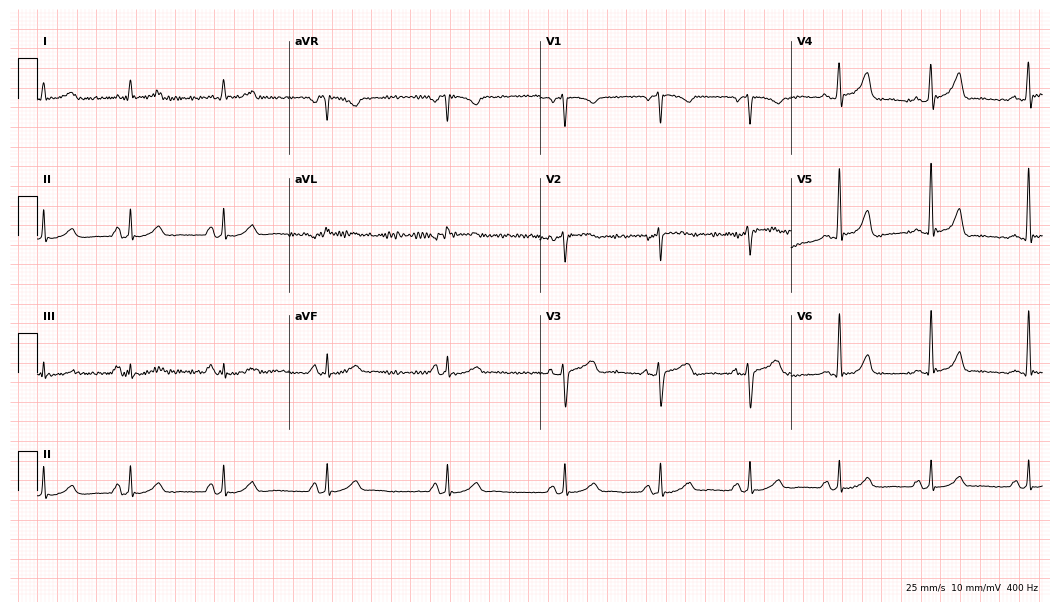
ECG (10.2-second recording at 400 Hz) — a 53-year-old man. Labelled as a normal ECG.